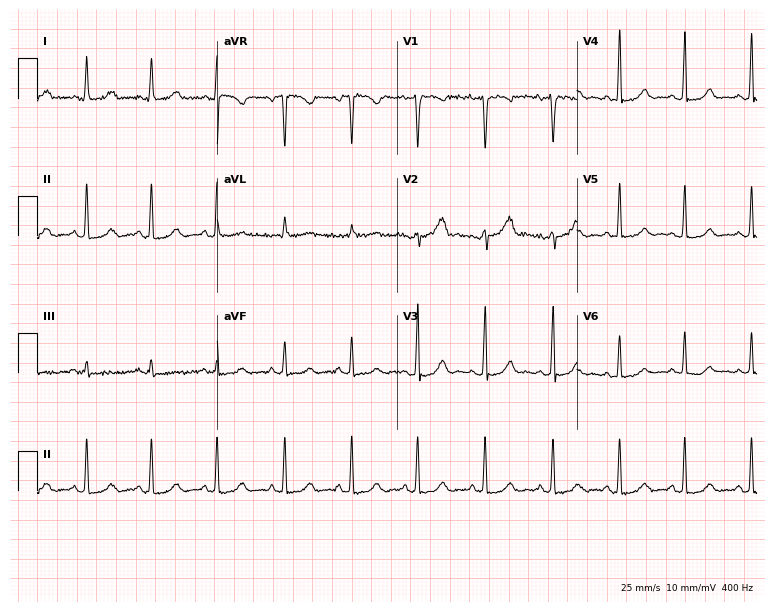
ECG (7.3-second recording at 400 Hz) — a 45-year-old female. Labelled as a normal ECG.